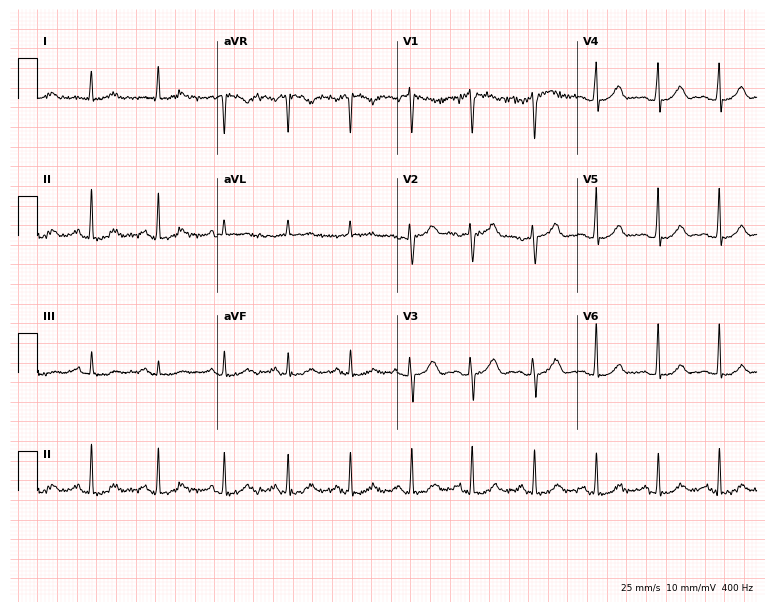
Resting 12-lead electrocardiogram (7.3-second recording at 400 Hz). Patient: a female, 45 years old. None of these six findings is recorded: first-degree AV block, right bundle branch block (RBBB), left bundle branch block (LBBB), sinus bradycardia, atrial fibrillation (AF), sinus tachycardia. Other findings, if any, are not listed.